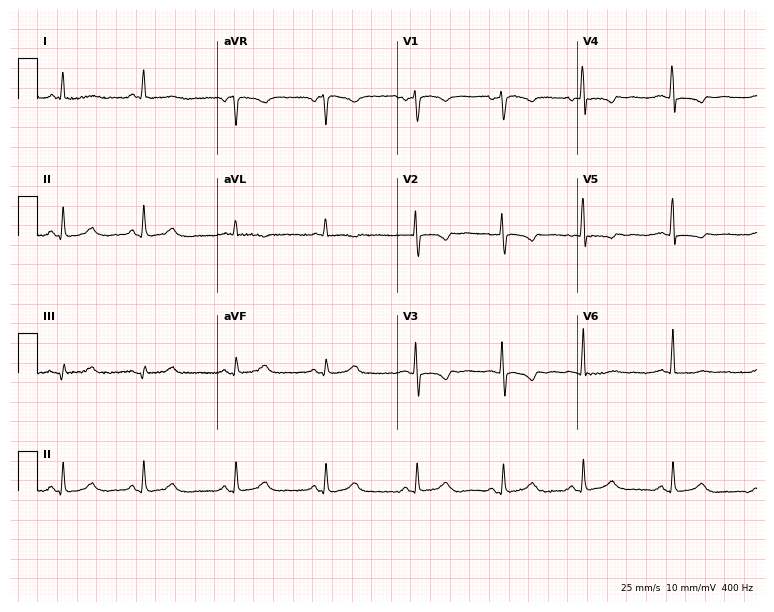
Electrocardiogram (7.3-second recording at 400 Hz), a 40-year-old woman. Of the six screened findings (first-degree AV block, right bundle branch block, left bundle branch block, sinus bradycardia, atrial fibrillation, sinus tachycardia), none is recorded. Findings outside these six are not listed.